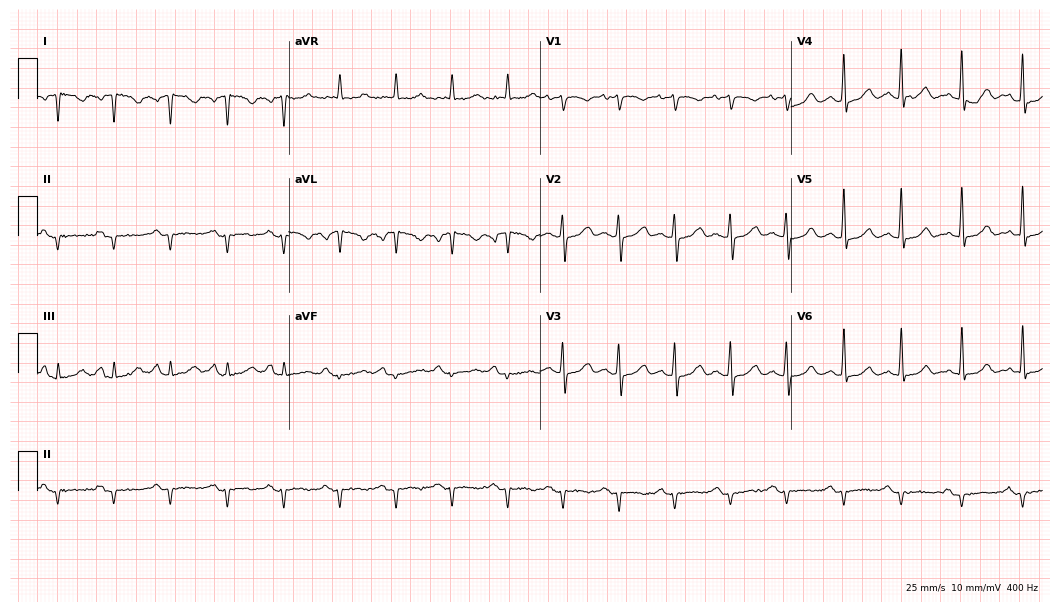
12-lead ECG from a 69-year-old female patient (10.2-second recording at 400 Hz). No first-degree AV block, right bundle branch block (RBBB), left bundle branch block (LBBB), sinus bradycardia, atrial fibrillation (AF) or sinus tachycardia recorded for this tracing.